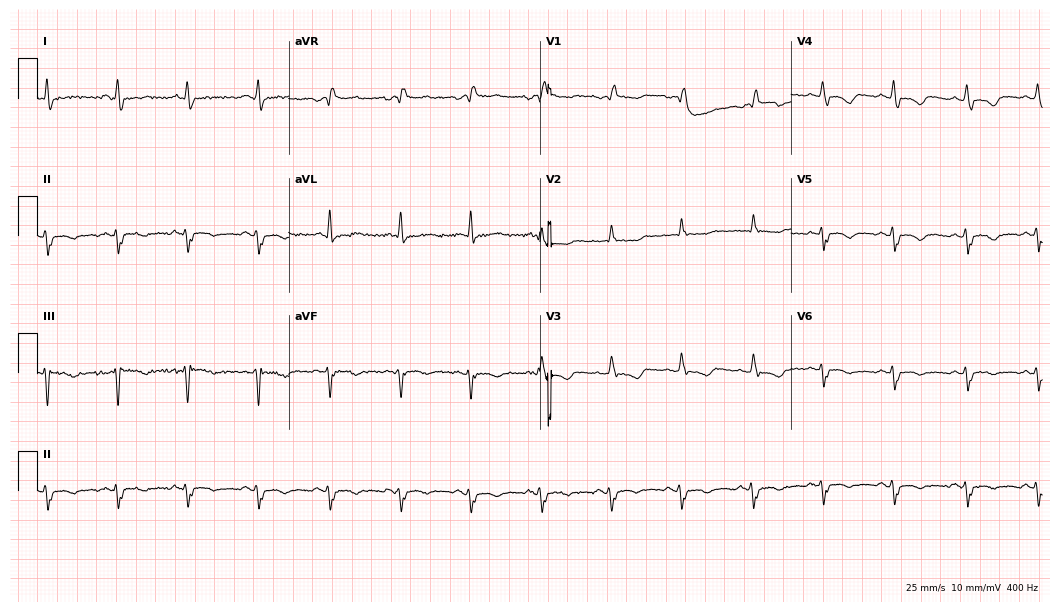
Resting 12-lead electrocardiogram. Patient: a 61-year-old male. None of these six findings is recorded: first-degree AV block, right bundle branch block, left bundle branch block, sinus bradycardia, atrial fibrillation, sinus tachycardia. Only these six findings were labelled.